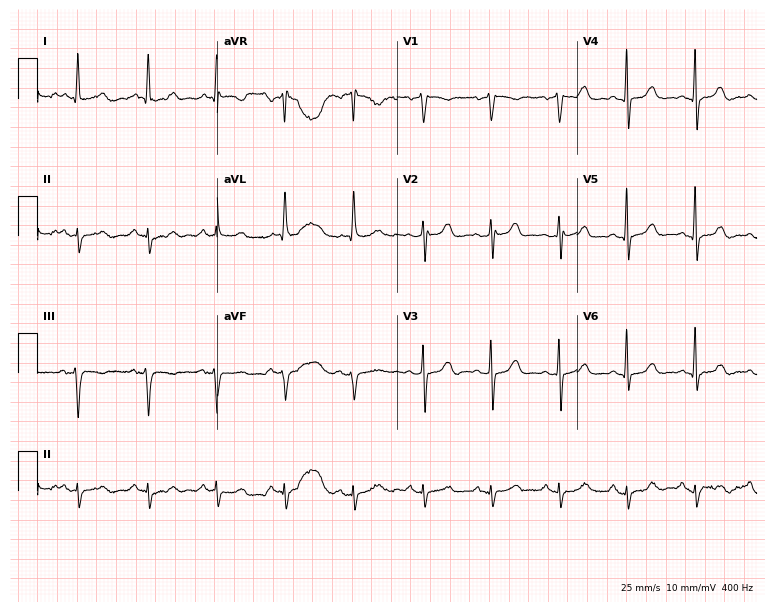
ECG (7.3-second recording at 400 Hz) — a male, 78 years old. Screened for six findings — first-degree AV block, right bundle branch block (RBBB), left bundle branch block (LBBB), sinus bradycardia, atrial fibrillation (AF), sinus tachycardia — none is recorded. Other findings, if any, are not listed.